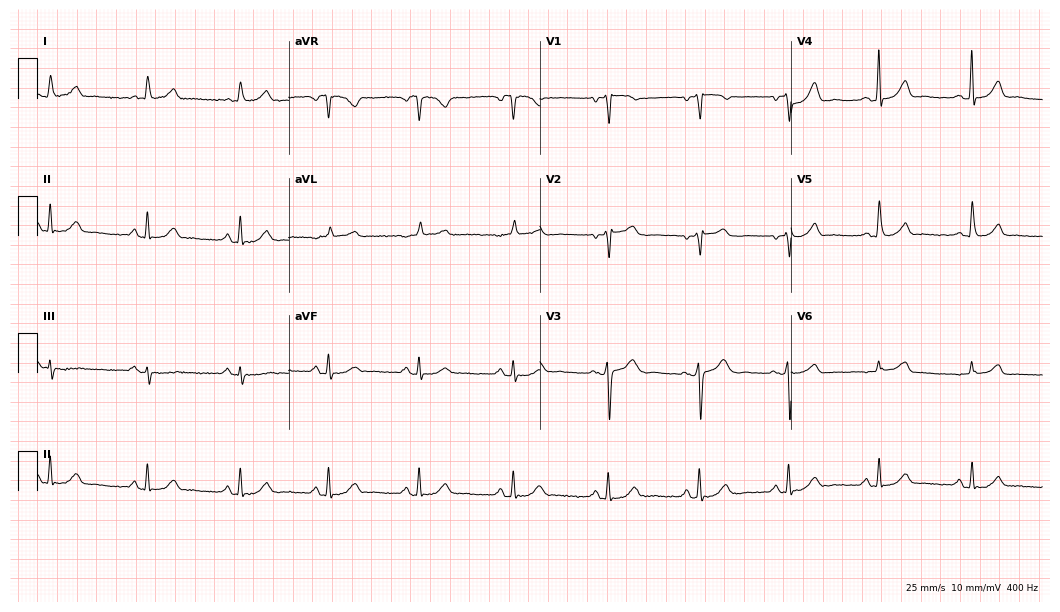
Standard 12-lead ECG recorded from a 61-year-old female. Read as a normal ECG.